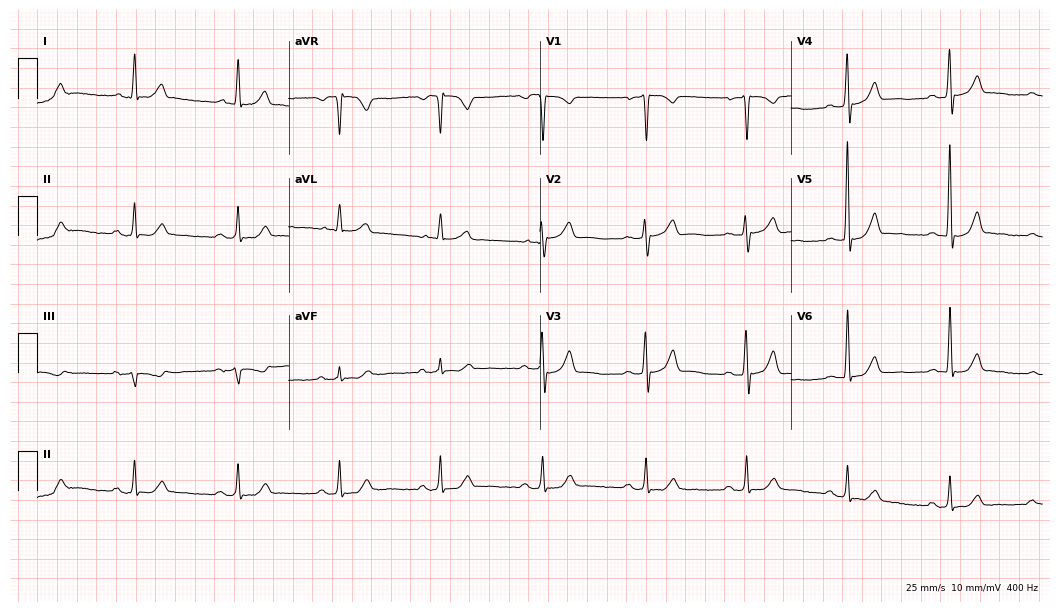
12-lead ECG from a 52-year-old male. Labelled as a normal ECG.